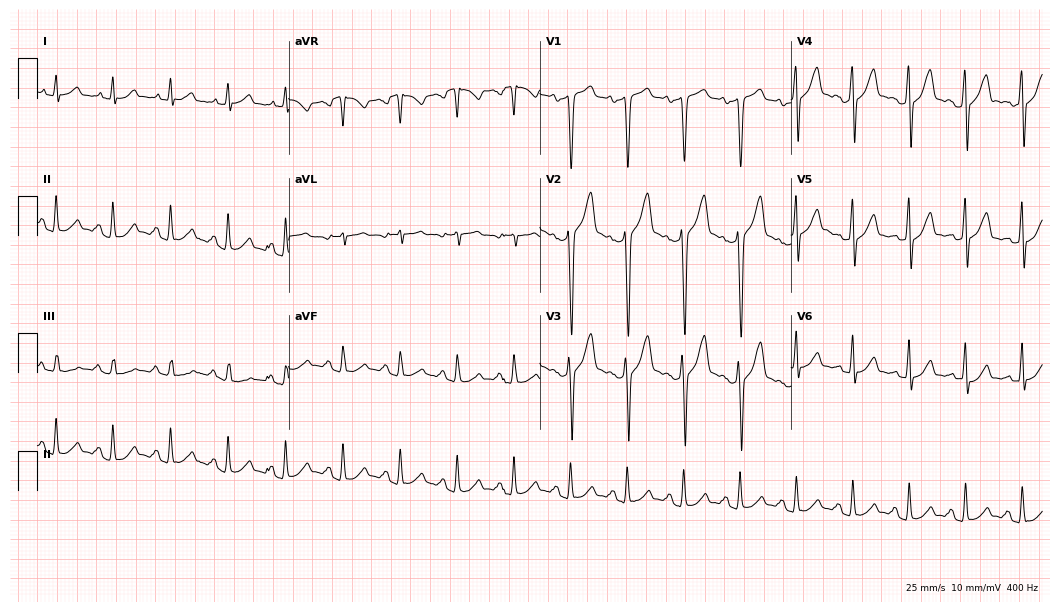
ECG (10.2-second recording at 400 Hz) — a 25-year-old male. Findings include sinus tachycardia (a sinus rate of 100 beats per minute or more).